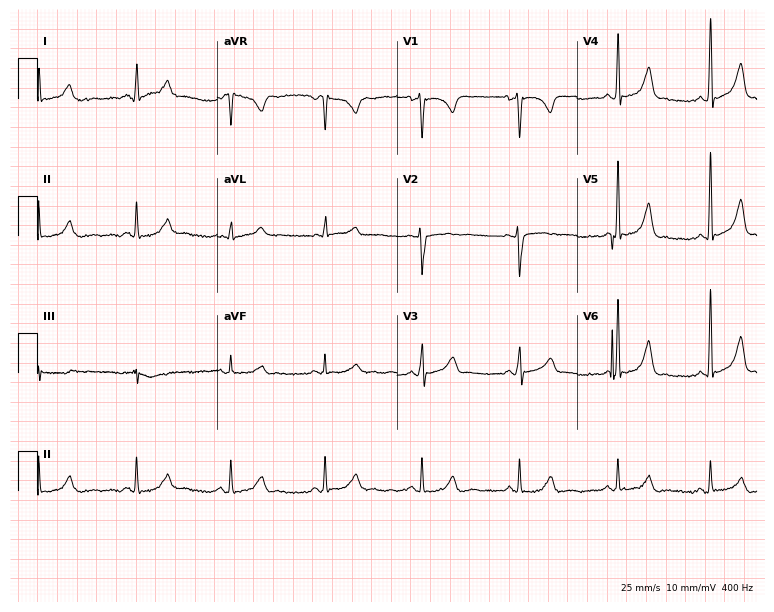
12-lead ECG from a 35-year-old female patient. Recorded interpretation: within normal limits.